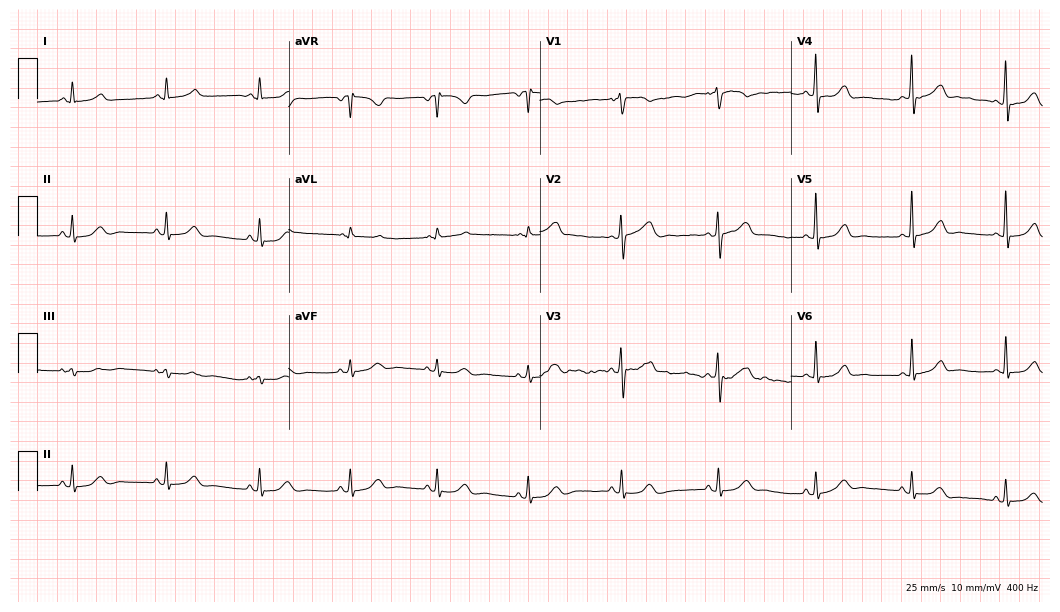
Resting 12-lead electrocardiogram. Patient: a female, 53 years old. Read as a normal ECG.